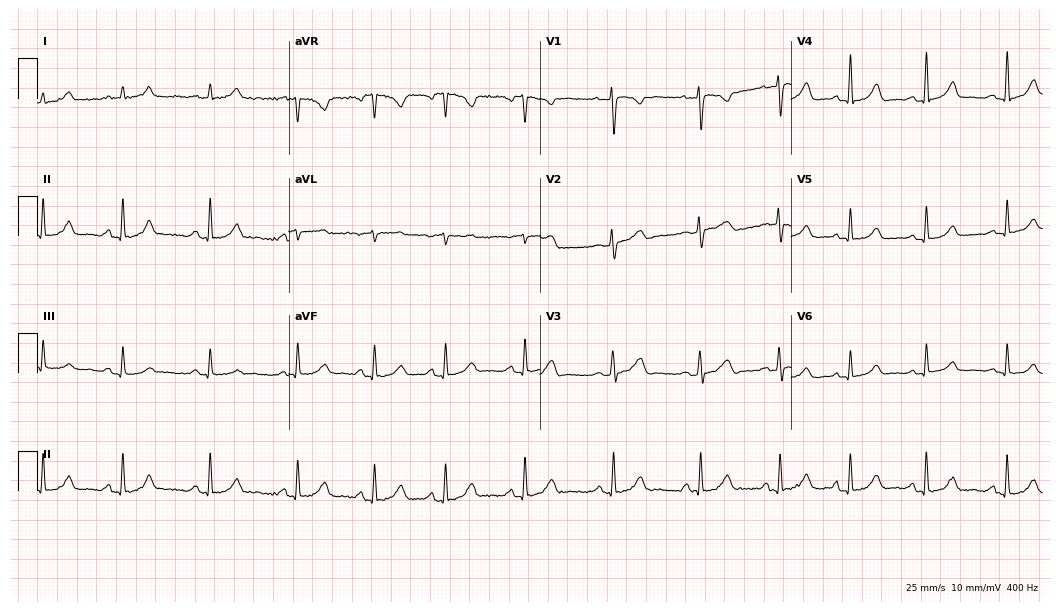
12-lead ECG (10.2-second recording at 400 Hz) from a 17-year-old female patient. Screened for six findings — first-degree AV block, right bundle branch block (RBBB), left bundle branch block (LBBB), sinus bradycardia, atrial fibrillation (AF), sinus tachycardia — none is recorded. Findings outside these six are not listed.